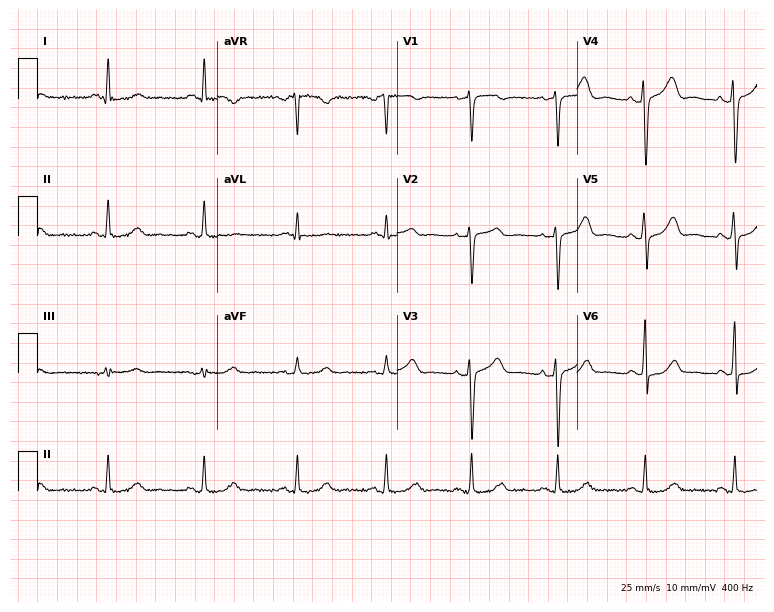
Standard 12-lead ECG recorded from a female, 53 years old. None of these six findings is recorded: first-degree AV block, right bundle branch block (RBBB), left bundle branch block (LBBB), sinus bradycardia, atrial fibrillation (AF), sinus tachycardia. Findings outside these six are not listed.